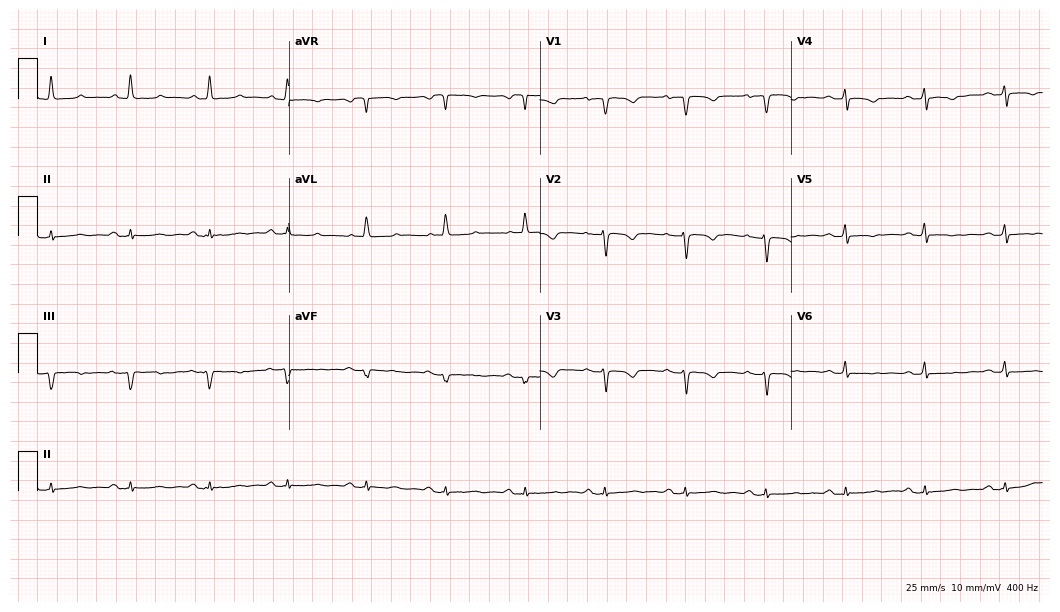
Resting 12-lead electrocardiogram. Patient: a 66-year-old female. None of these six findings is recorded: first-degree AV block, right bundle branch block (RBBB), left bundle branch block (LBBB), sinus bradycardia, atrial fibrillation (AF), sinus tachycardia.